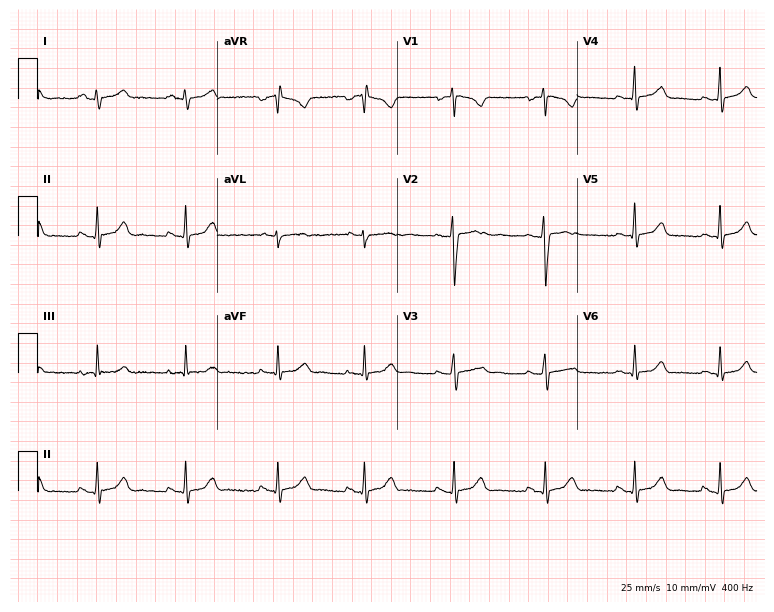
ECG — a woman, 21 years old. Labelled as a normal ECG.